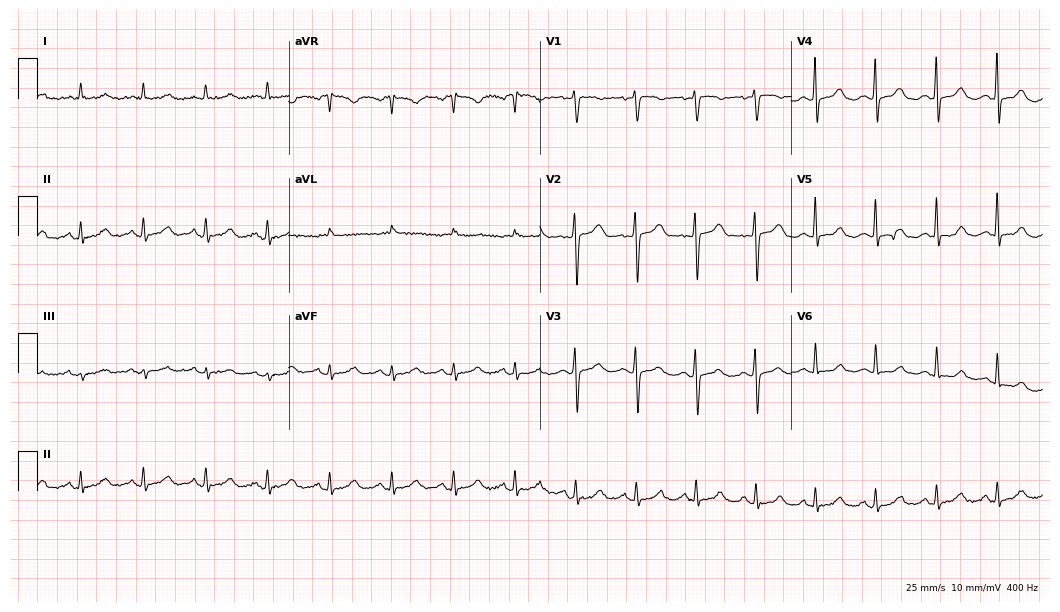
Standard 12-lead ECG recorded from a 77-year-old female patient. Read as a normal ECG.